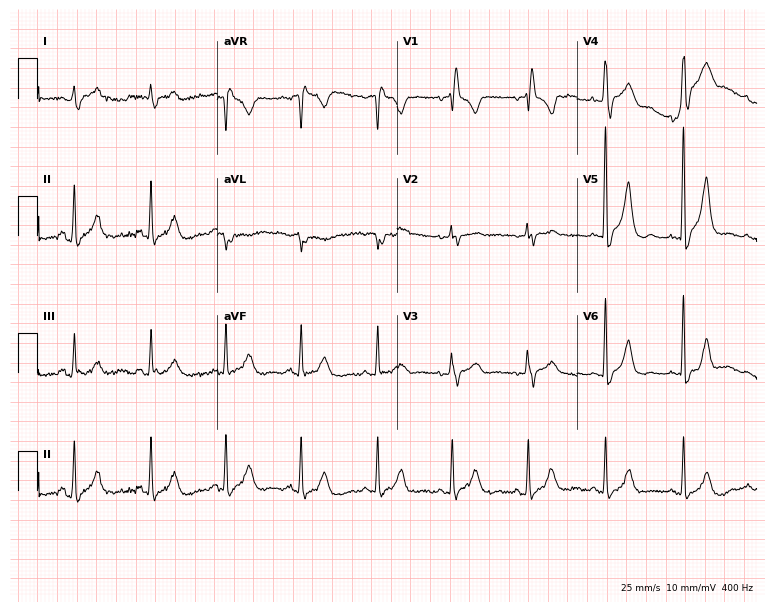
12-lead ECG (7.3-second recording at 400 Hz) from an 82-year-old woman. Findings include right bundle branch block.